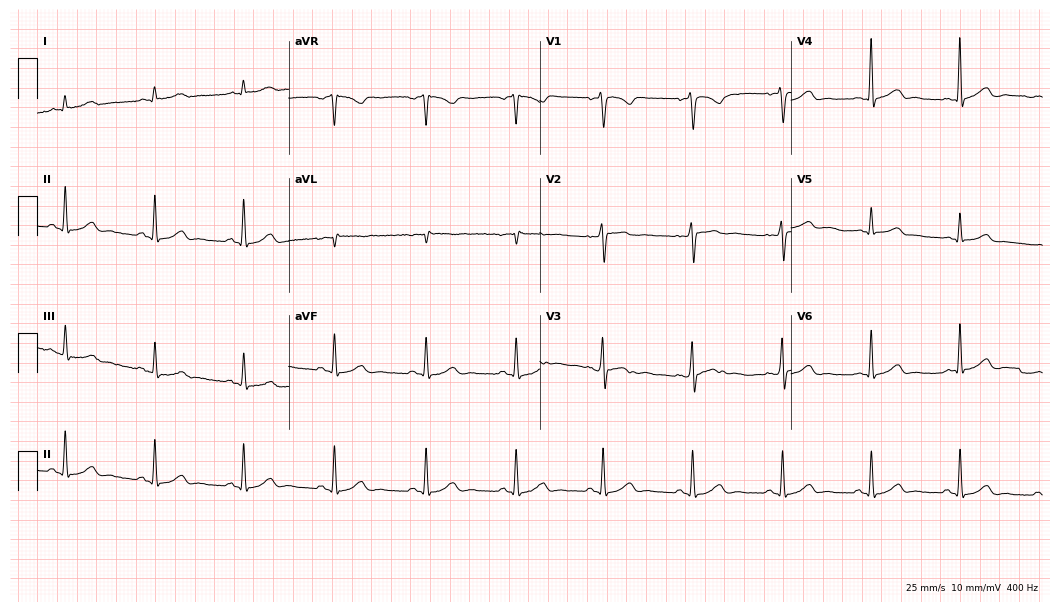
12-lead ECG (10.2-second recording at 400 Hz) from a 36-year-old man. Labelled as a normal ECG.